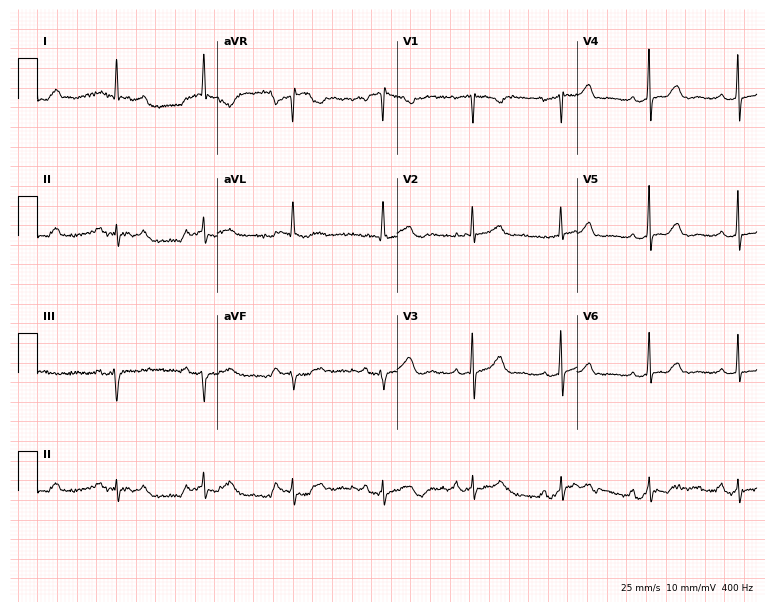
12-lead ECG from a 75-year-old woman. Screened for six findings — first-degree AV block, right bundle branch block, left bundle branch block, sinus bradycardia, atrial fibrillation, sinus tachycardia — none is recorded.